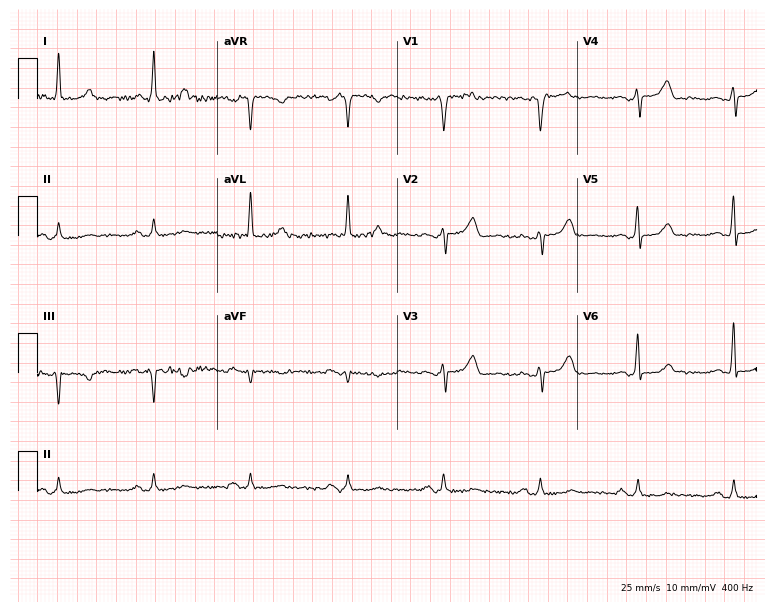
ECG (7.3-second recording at 400 Hz) — a male, 52 years old. Screened for six findings — first-degree AV block, right bundle branch block (RBBB), left bundle branch block (LBBB), sinus bradycardia, atrial fibrillation (AF), sinus tachycardia — none is recorded.